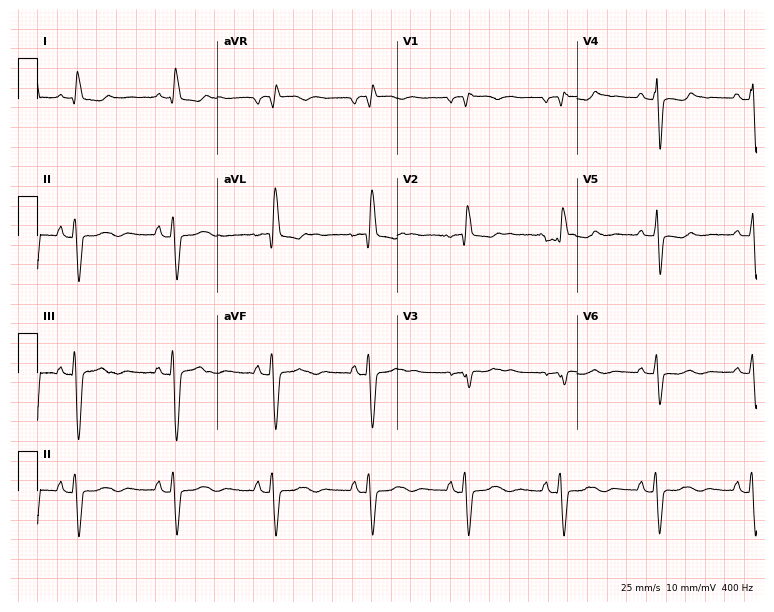
Resting 12-lead electrocardiogram (7.3-second recording at 400 Hz). Patient: a 64-year-old female. The tracing shows right bundle branch block.